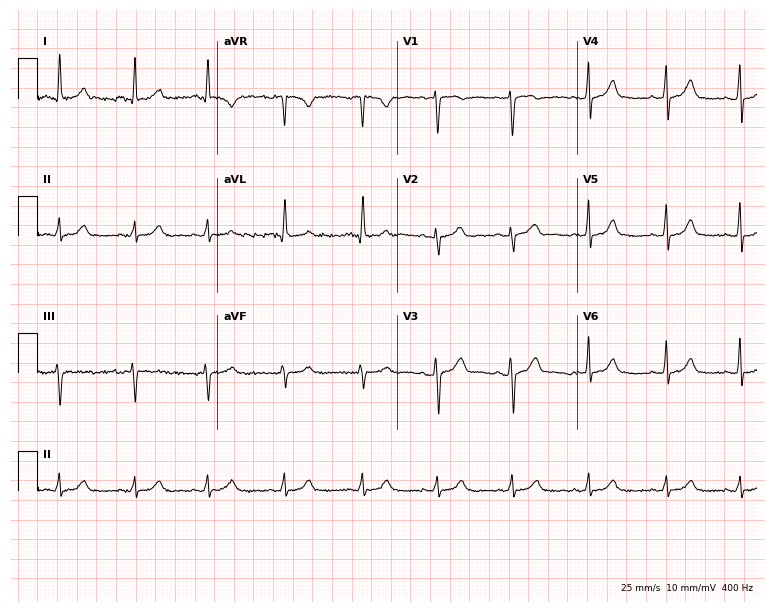
12-lead ECG from a 49-year-old woman (7.3-second recording at 400 Hz). Recorded interpretation: within normal limits.